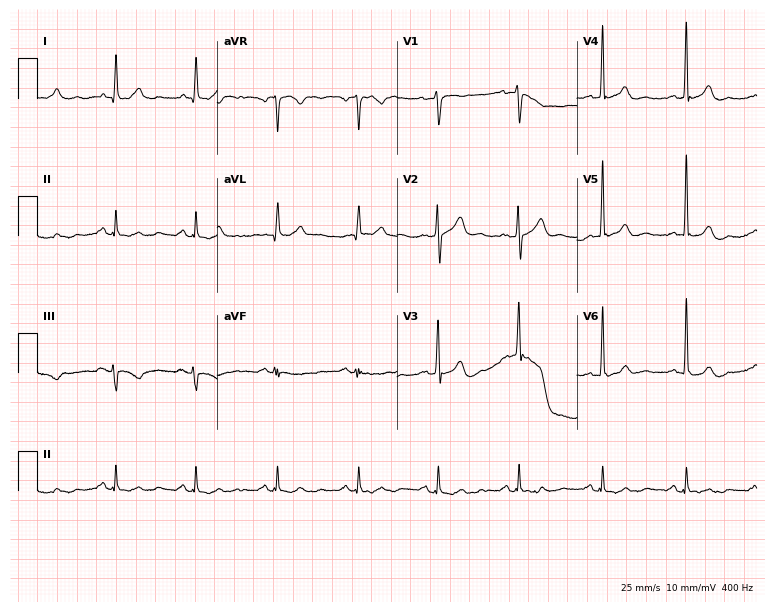
Resting 12-lead electrocardiogram. Patient: a male, 71 years old. Read as a normal ECG.